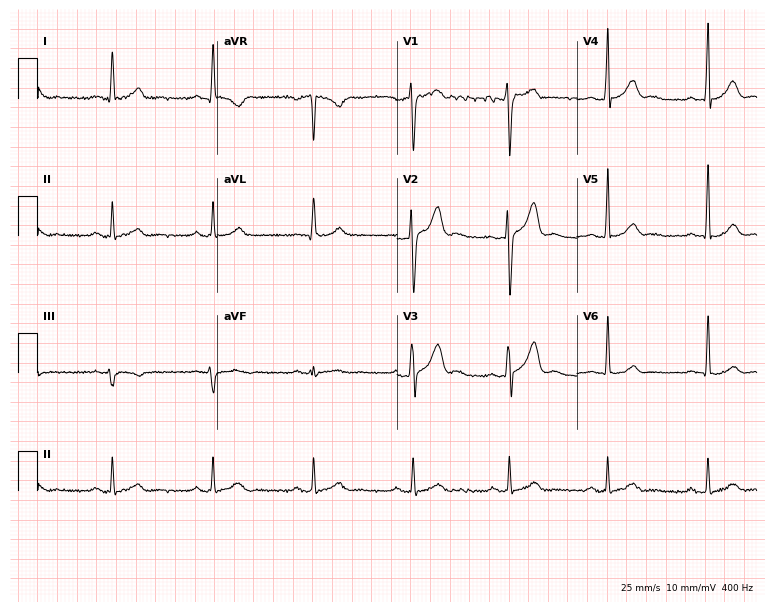
Electrocardiogram (7.3-second recording at 400 Hz), a 45-year-old male patient. Overall reading on record: normal ECG.